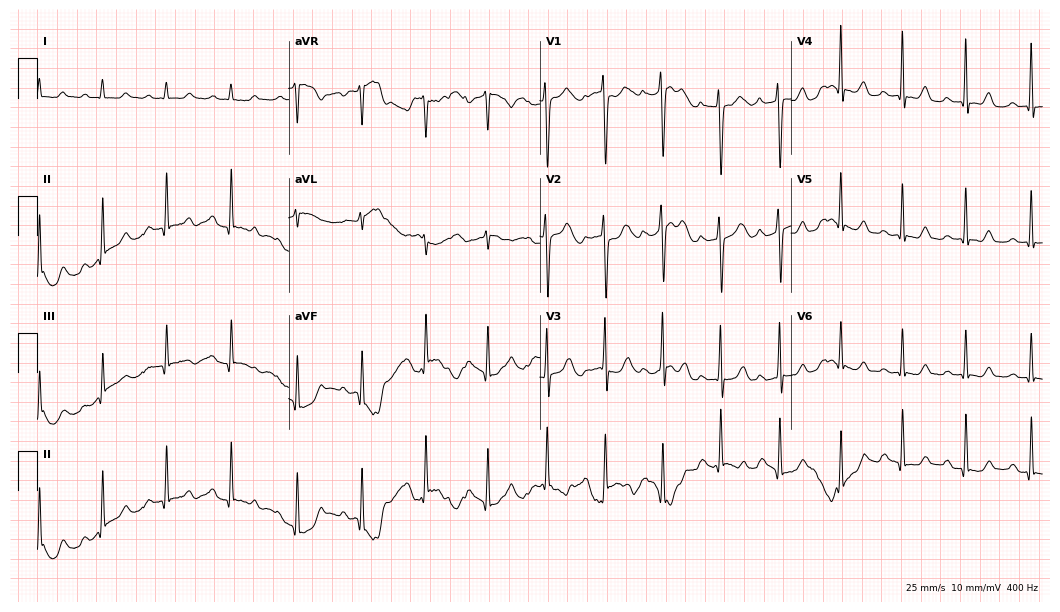
12-lead ECG from a female patient, 38 years old (10.2-second recording at 400 Hz). Shows first-degree AV block.